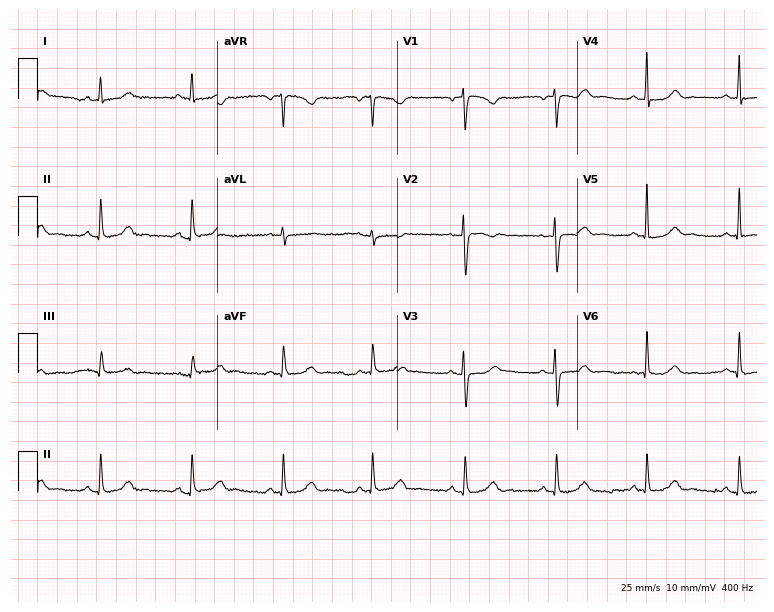
Resting 12-lead electrocardiogram. Patient: a 45-year-old female. None of these six findings is recorded: first-degree AV block, right bundle branch block, left bundle branch block, sinus bradycardia, atrial fibrillation, sinus tachycardia.